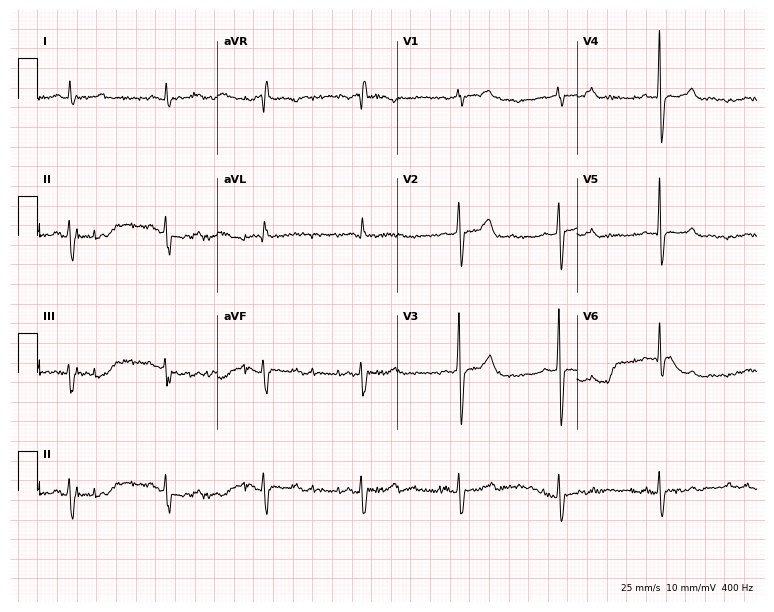
12-lead ECG from a 69-year-old male patient (7.3-second recording at 400 Hz). No first-degree AV block, right bundle branch block, left bundle branch block, sinus bradycardia, atrial fibrillation or sinus tachycardia recorded for this tracing. Other findings, if any, are not listed.